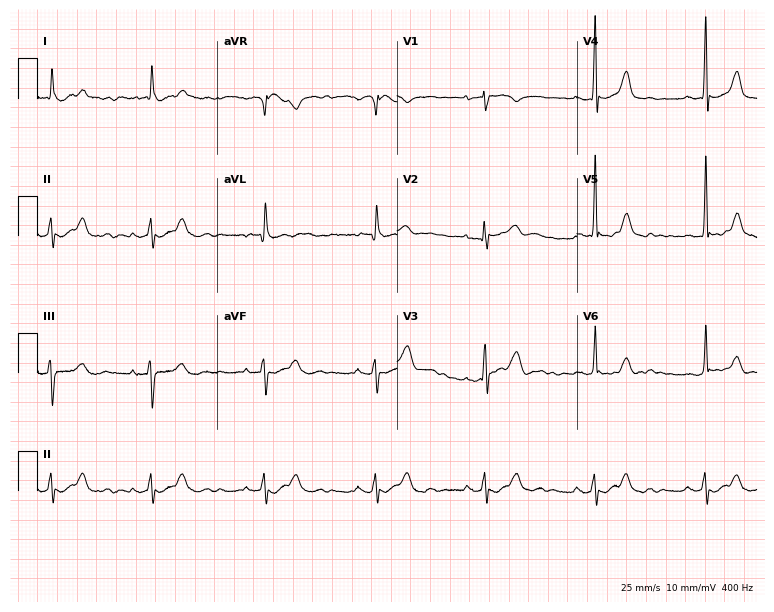
Resting 12-lead electrocardiogram (7.3-second recording at 400 Hz). Patient: a 69-year-old female. None of these six findings is recorded: first-degree AV block, right bundle branch block (RBBB), left bundle branch block (LBBB), sinus bradycardia, atrial fibrillation (AF), sinus tachycardia.